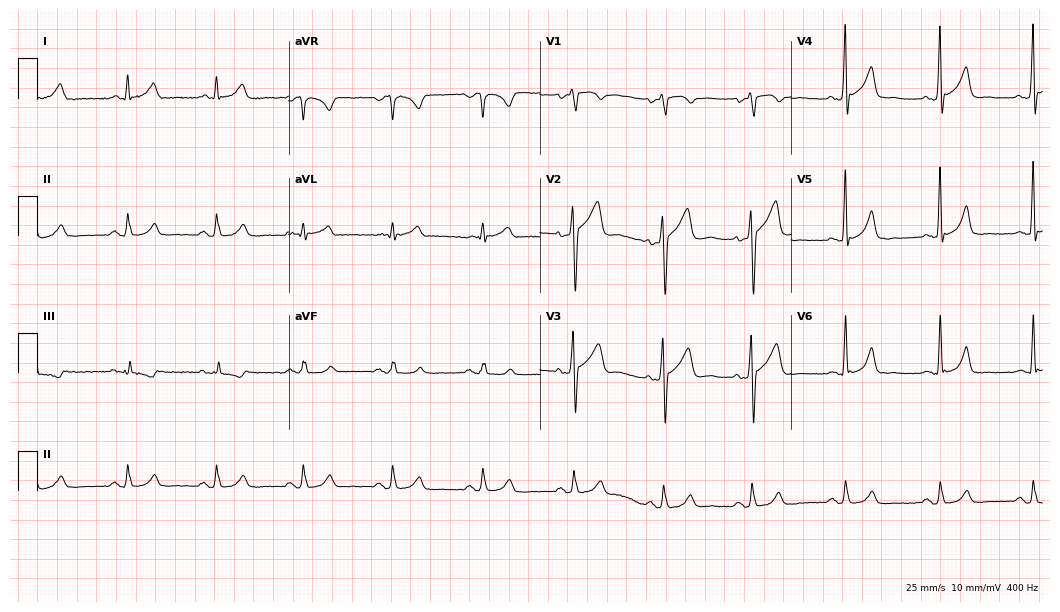
Electrocardiogram (10.2-second recording at 400 Hz), a male, 46 years old. Of the six screened findings (first-degree AV block, right bundle branch block (RBBB), left bundle branch block (LBBB), sinus bradycardia, atrial fibrillation (AF), sinus tachycardia), none is recorded.